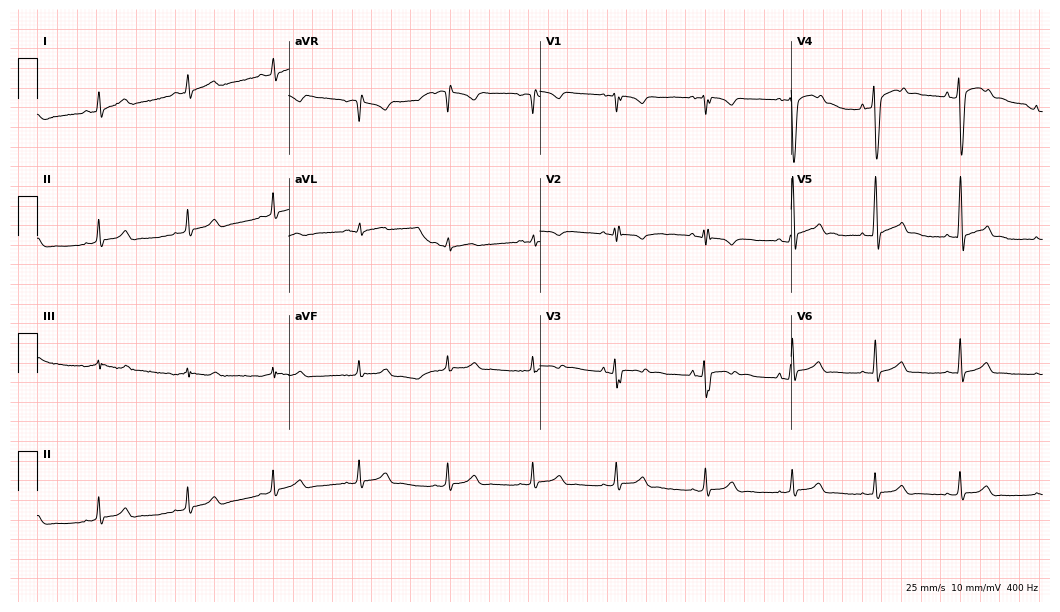
Standard 12-lead ECG recorded from a man, 17 years old. Read as a normal ECG.